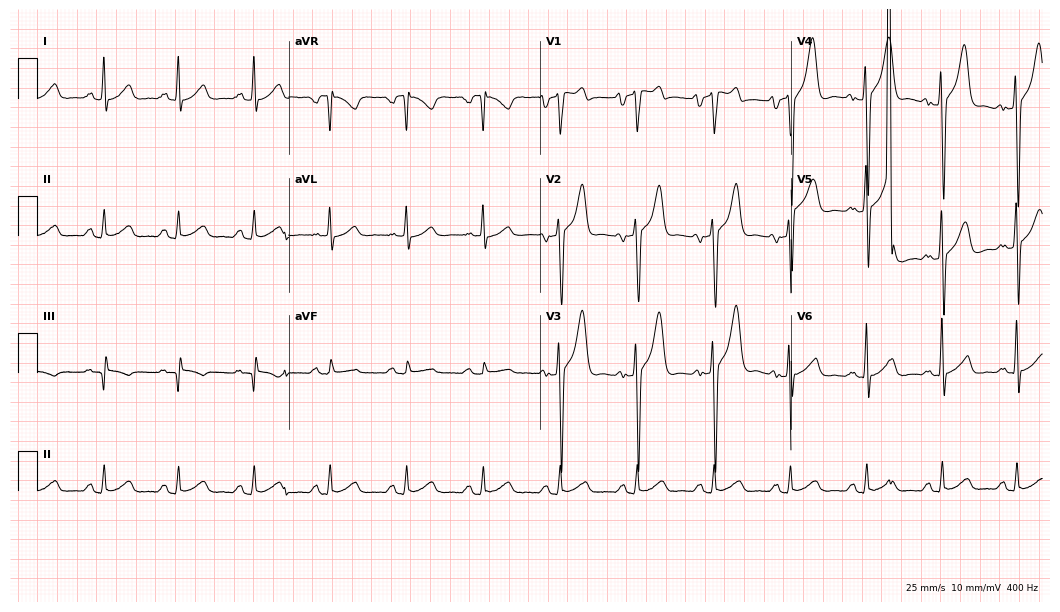
Standard 12-lead ECG recorded from a 36-year-old man. Read as a normal ECG.